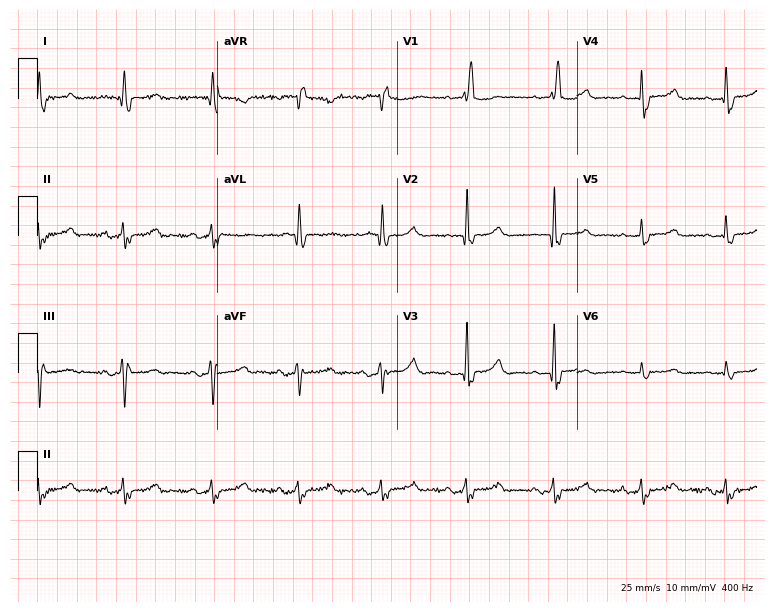
ECG — an 82-year-old female patient. Findings include right bundle branch block.